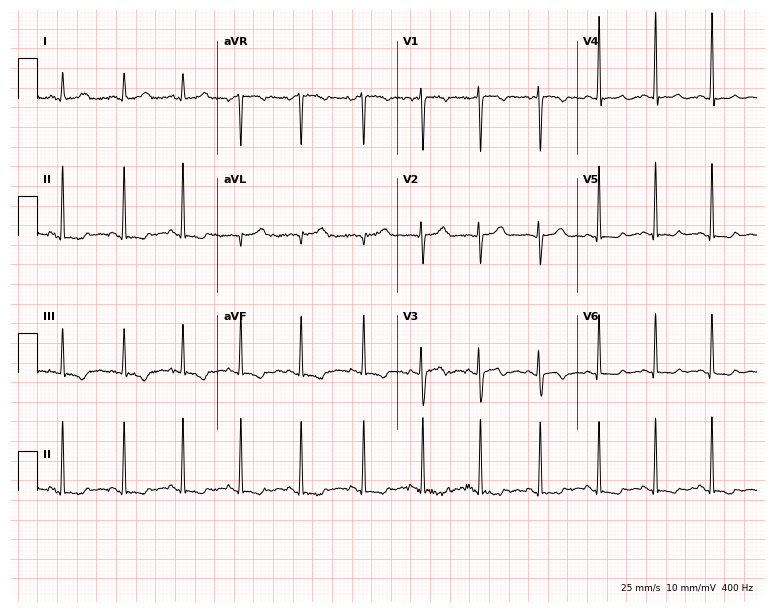
12-lead ECG (7.3-second recording at 400 Hz) from a female, 39 years old. Screened for six findings — first-degree AV block, right bundle branch block, left bundle branch block, sinus bradycardia, atrial fibrillation, sinus tachycardia — none is recorded. Other findings, if any, are not listed.